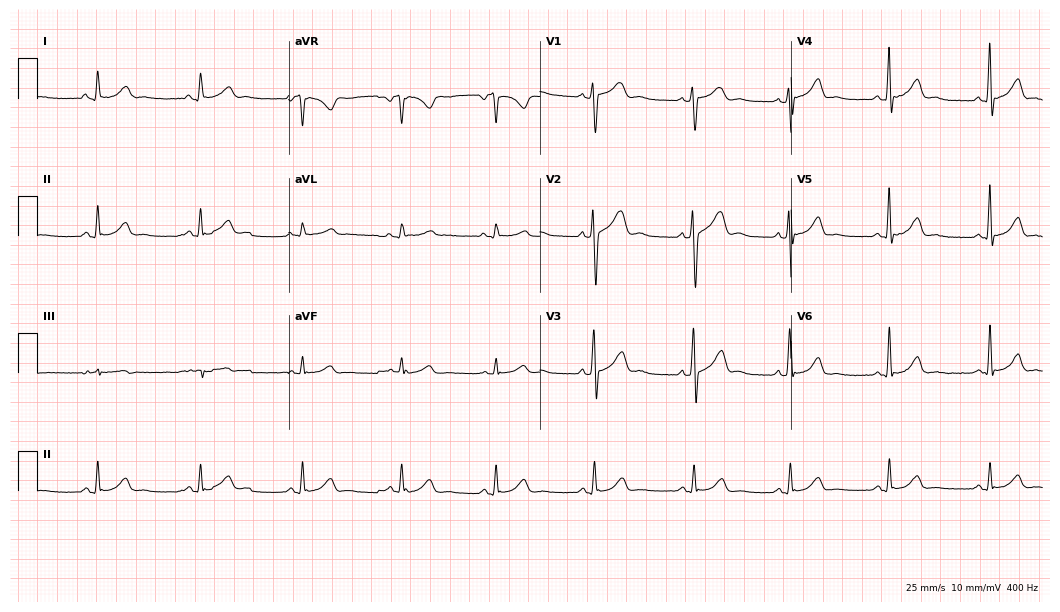
Standard 12-lead ECG recorded from a man, 29 years old. None of these six findings is recorded: first-degree AV block, right bundle branch block (RBBB), left bundle branch block (LBBB), sinus bradycardia, atrial fibrillation (AF), sinus tachycardia.